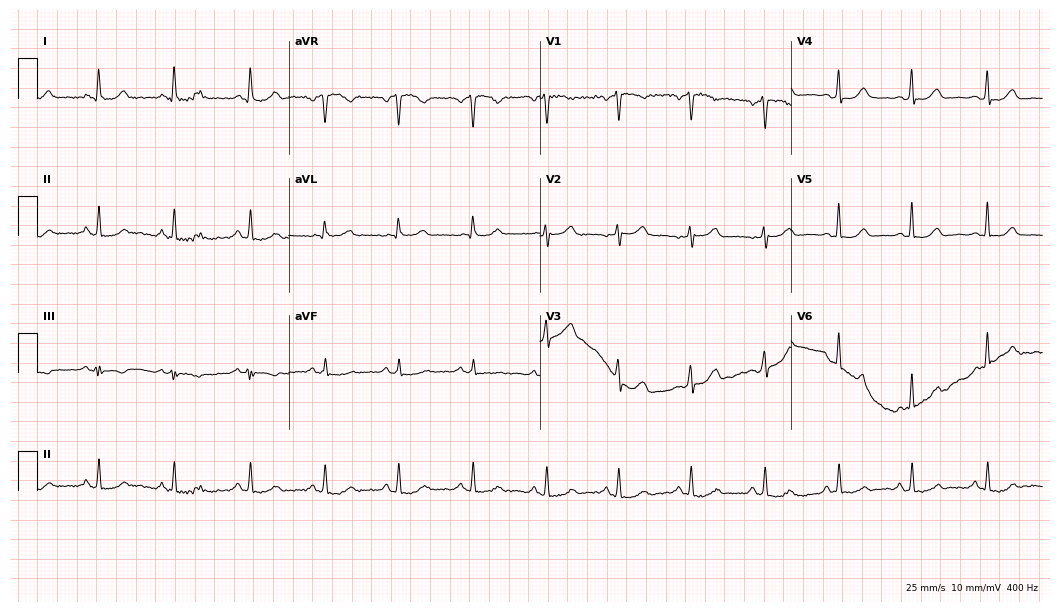
Resting 12-lead electrocardiogram (10.2-second recording at 400 Hz). Patient: a female, 48 years old. None of these six findings is recorded: first-degree AV block, right bundle branch block, left bundle branch block, sinus bradycardia, atrial fibrillation, sinus tachycardia. Other findings, if any, are not listed.